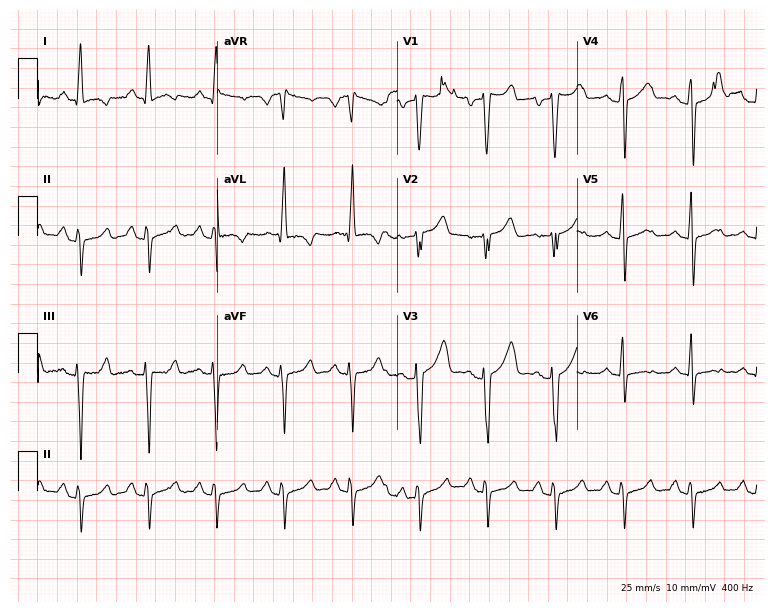
12-lead ECG (7.3-second recording at 400 Hz) from a 55-year-old female patient. Screened for six findings — first-degree AV block, right bundle branch block (RBBB), left bundle branch block (LBBB), sinus bradycardia, atrial fibrillation (AF), sinus tachycardia — none is recorded.